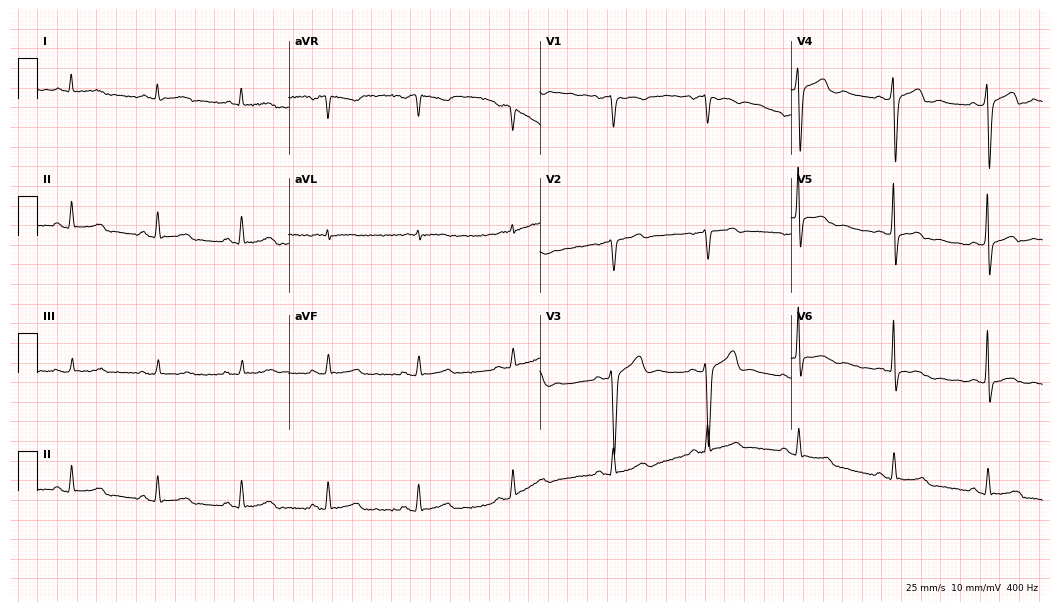
12-lead ECG from a 54-year-old man. No first-degree AV block, right bundle branch block, left bundle branch block, sinus bradycardia, atrial fibrillation or sinus tachycardia recorded for this tracing.